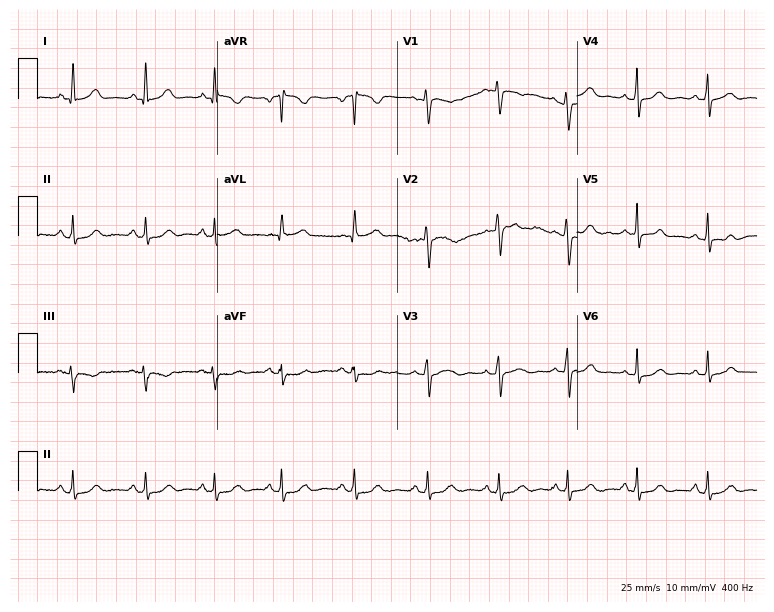
Resting 12-lead electrocardiogram. Patient: a 26-year-old female. Read as a normal ECG.